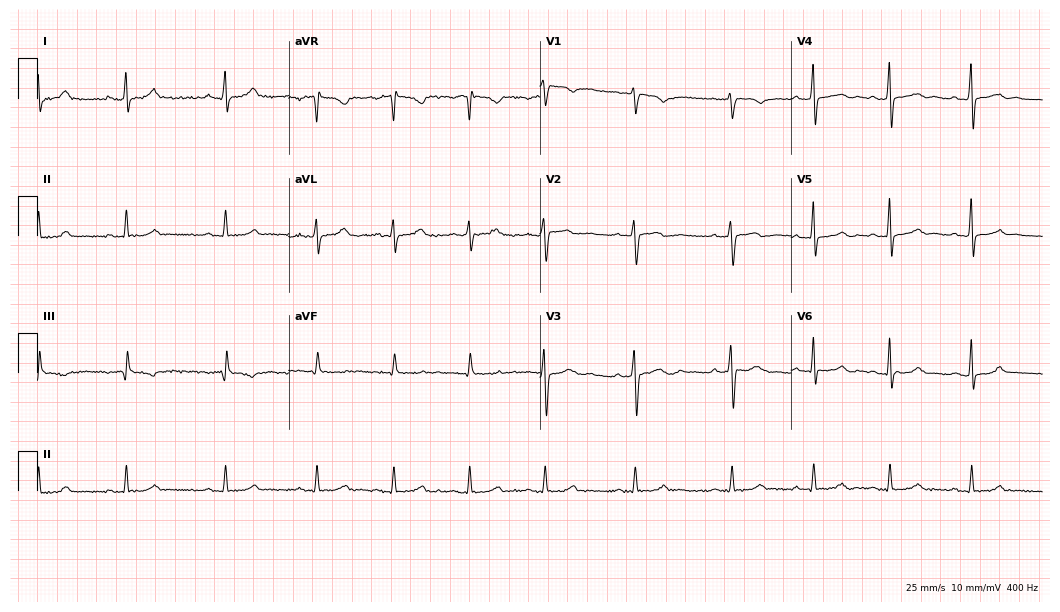
Standard 12-lead ECG recorded from a woman, 31 years old. Read as a normal ECG.